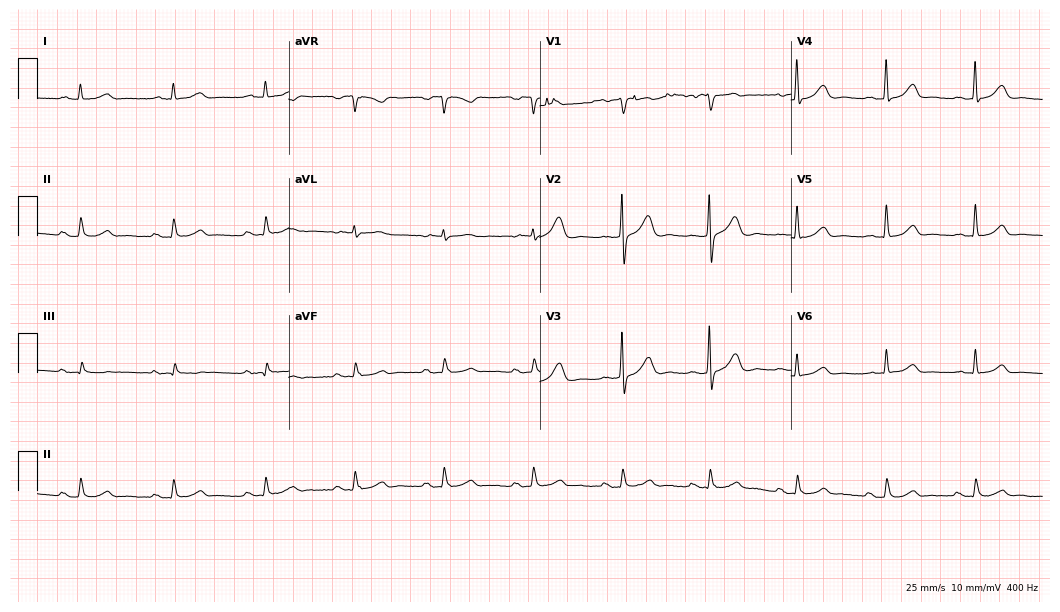
ECG — a male patient, 74 years old. Labelled as a normal ECG.